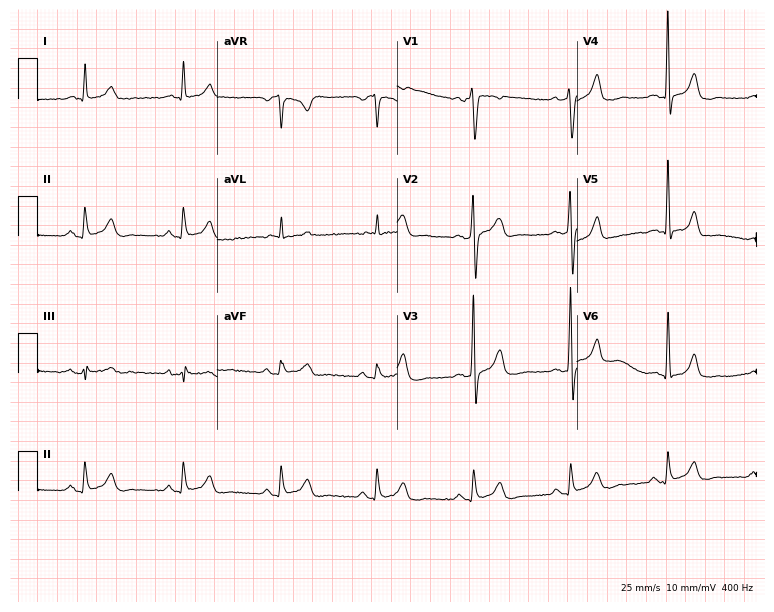
Electrocardiogram (7.3-second recording at 400 Hz), a male, 51 years old. Of the six screened findings (first-degree AV block, right bundle branch block, left bundle branch block, sinus bradycardia, atrial fibrillation, sinus tachycardia), none is recorded.